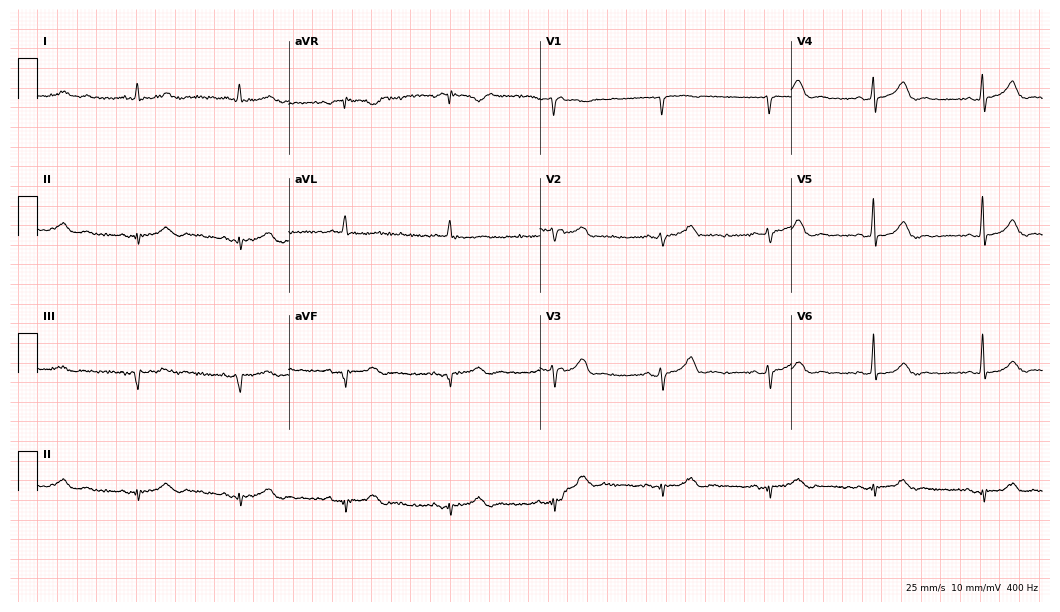
Electrocardiogram (10.2-second recording at 400 Hz), an 84-year-old male. Of the six screened findings (first-degree AV block, right bundle branch block (RBBB), left bundle branch block (LBBB), sinus bradycardia, atrial fibrillation (AF), sinus tachycardia), none is recorded.